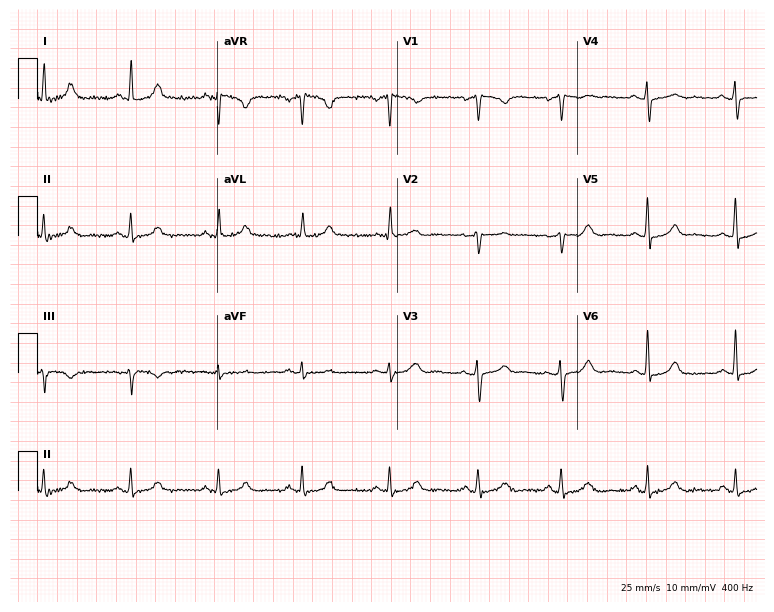
12-lead ECG from a 45-year-old female. Screened for six findings — first-degree AV block, right bundle branch block, left bundle branch block, sinus bradycardia, atrial fibrillation, sinus tachycardia — none is recorded. Other findings, if any, are not listed.